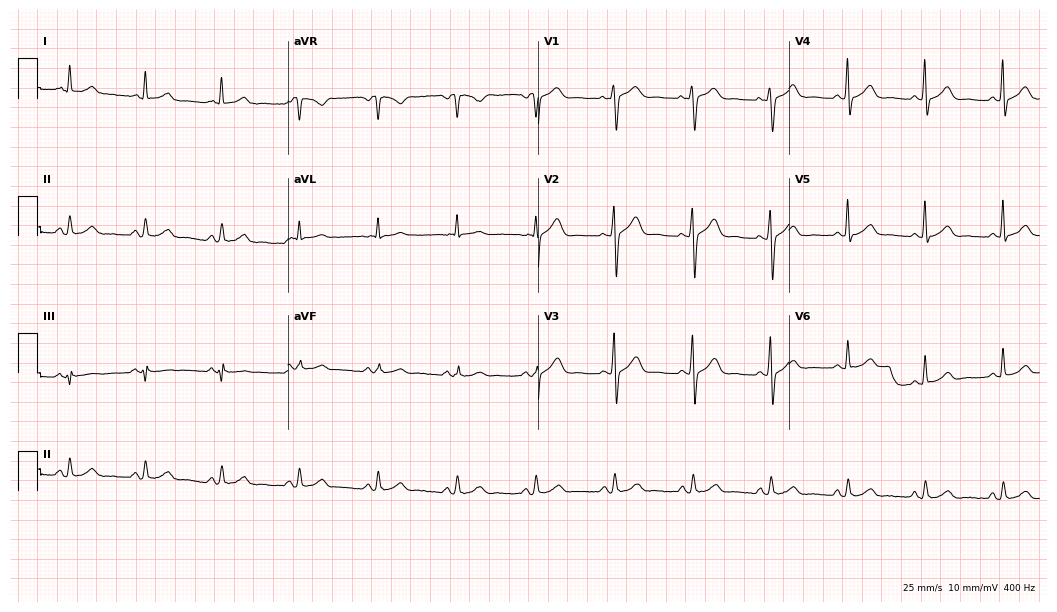
Electrocardiogram (10.2-second recording at 400 Hz), a 60-year-old woman. Overall reading on record: normal ECG.